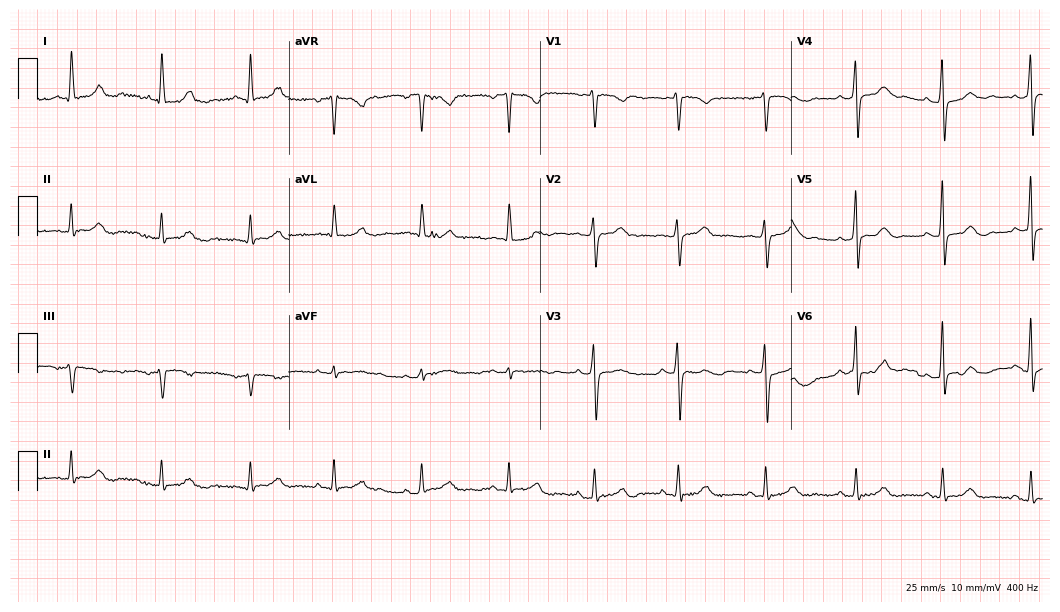
12-lead ECG from a 64-year-old woman. Labelled as a normal ECG.